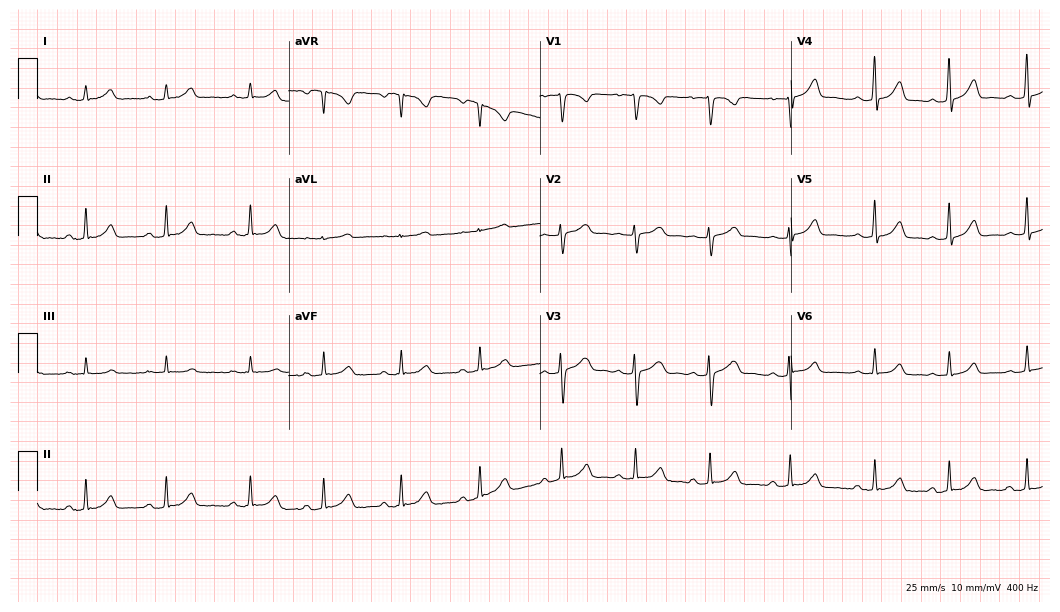
12-lead ECG (10.2-second recording at 400 Hz) from a 19-year-old woman. Labelled as a normal ECG.